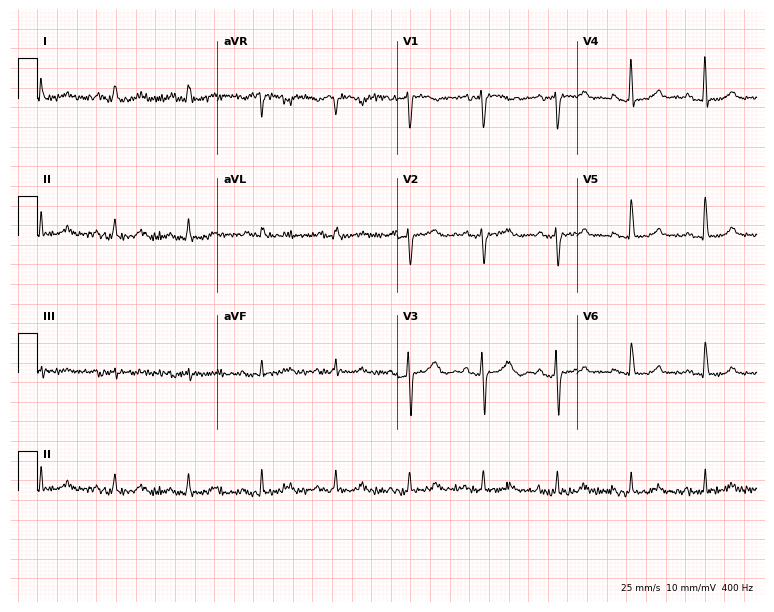
12-lead ECG (7.3-second recording at 400 Hz) from a man, 62 years old. Screened for six findings — first-degree AV block, right bundle branch block, left bundle branch block, sinus bradycardia, atrial fibrillation, sinus tachycardia — none is recorded. Only these six findings were labelled.